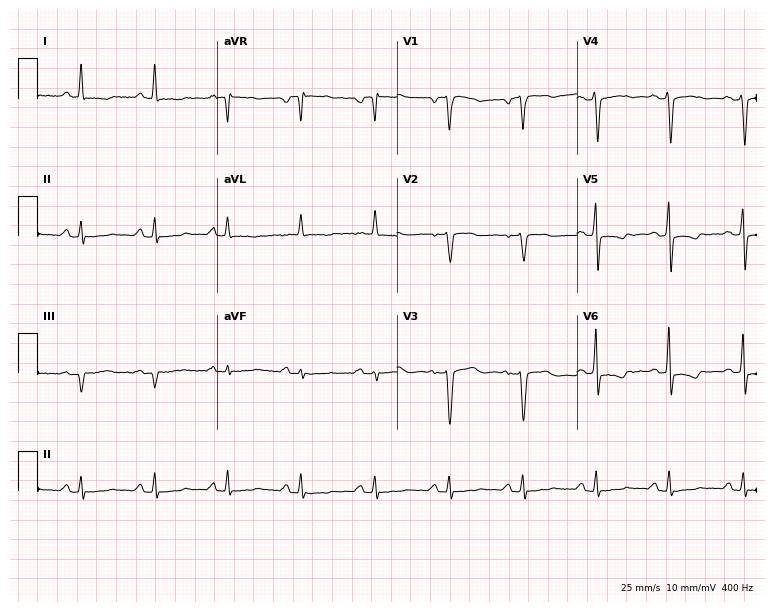
Resting 12-lead electrocardiogram. Patient: a 51-year-old female. None of these six findings is recorded: first-degree AV block, right bundle branch block, left bundle branch block, sinus bradycardia, atrial fibrillation, sinus tachycardia.